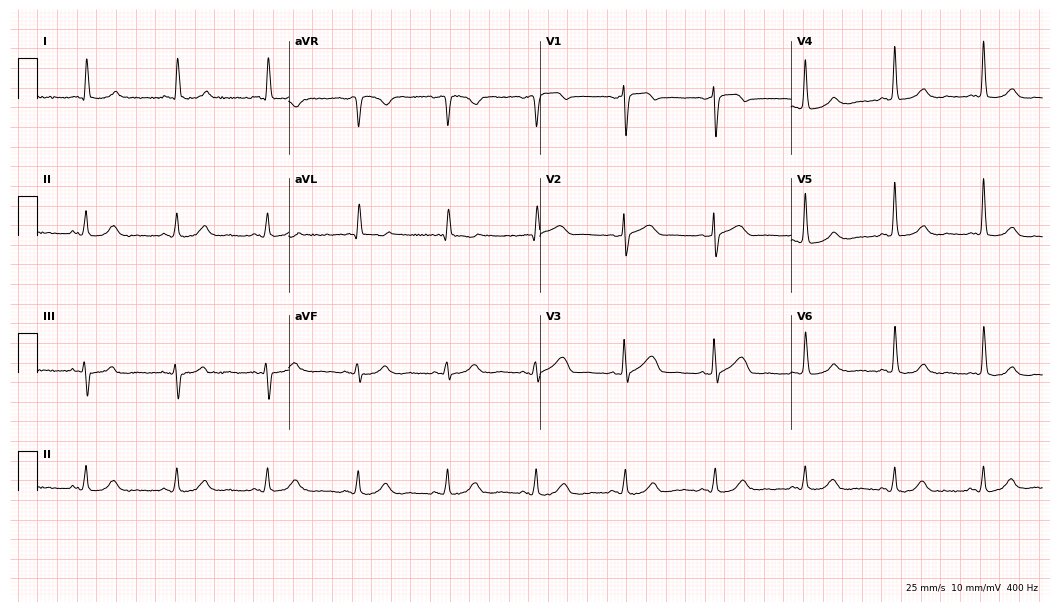
ECG (10.2-second recording at 400 Hz) — a female patient, 85 years old. Labelled as a normal ECG.